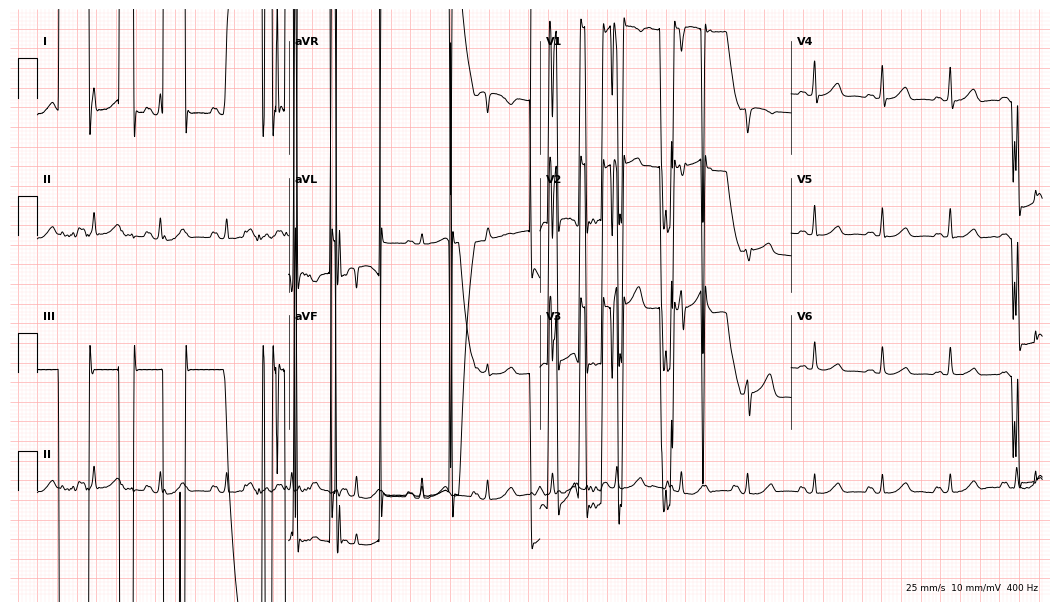
ECG (10.2-second recording at 400 Hz) — a man, 52 years old. Screened for six findings — first-degree AV block, right bundle branch block, left bundle branch block, sinus bradycardia, atrial fibrillation, sinus tachycardia — none is recorded.